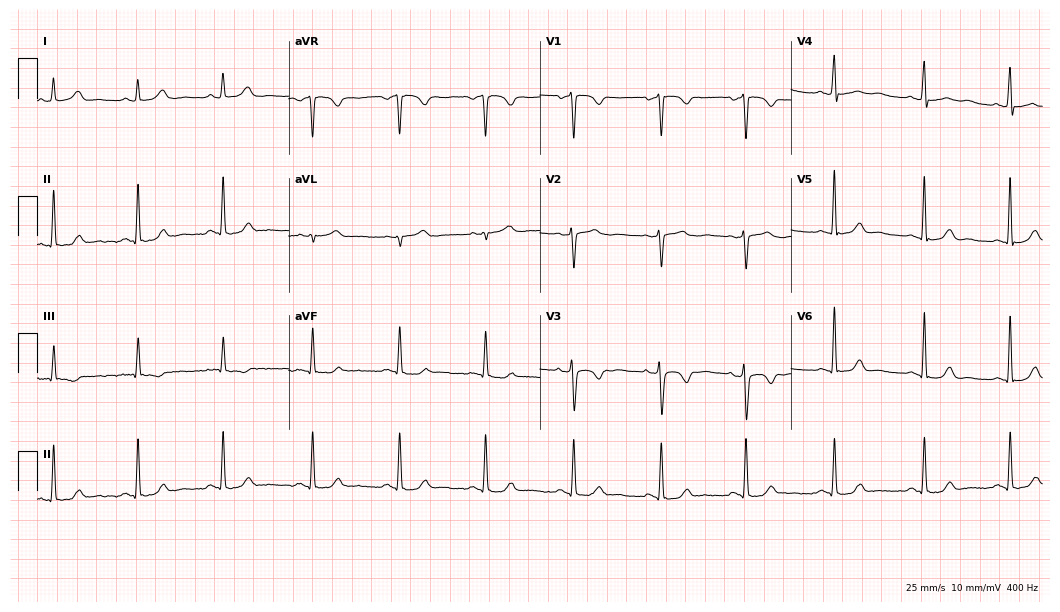
Standard 12-lead ECG recorded from a 39-year-old female (10.2-second recording at 400 Hz). Read as a normal ECG.